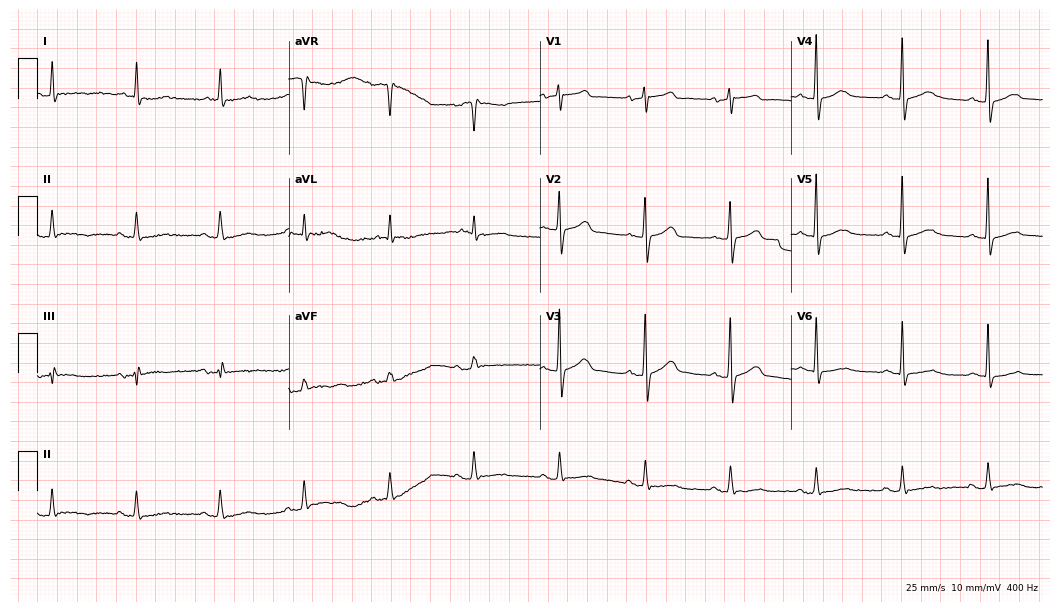
Resting 12-lead electrocardiogram (10.2-second recording at 400 Hz). Patient: a male, 83 years old. None of these six findings is recorded: first-degree AV block, right bundle branch block, left bundle branch block, sinus bradycardia, atrial fibrillation, sinus tachycardia.